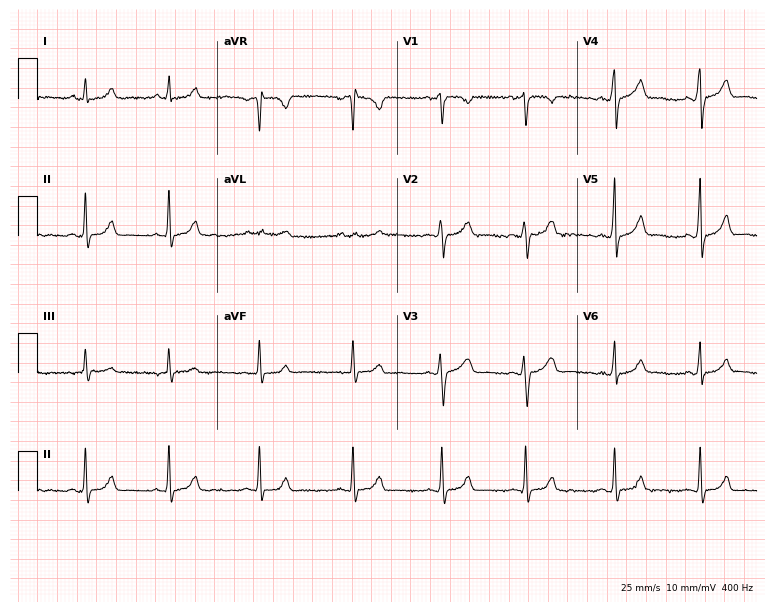
12-lead ECG from a 25-year-old woman. No first-degree AV block, right bundle branch block, left bundle branch block, sinus bradycardia, atrial fibrillation or sinus tachycardia recorded for this tracing. Only these six findings were labelled.